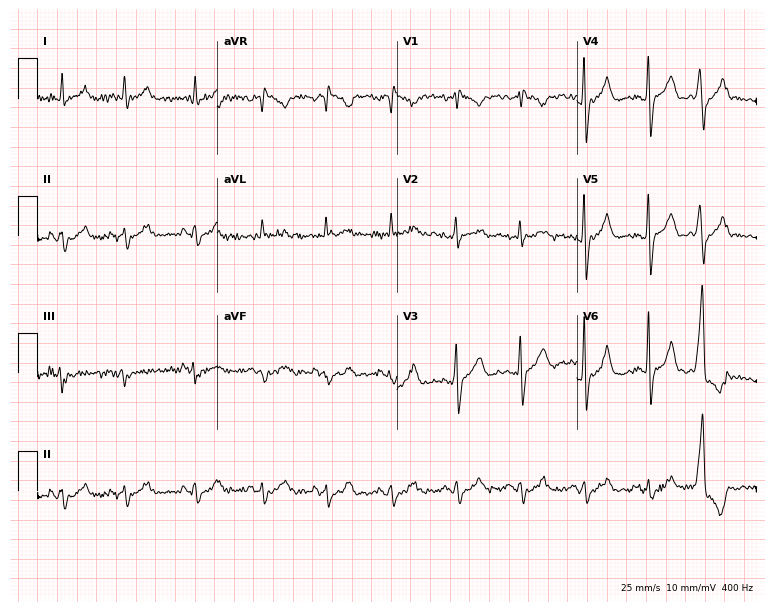
12-lead ECG from a 73-year-old male patient. No first-degree AV block, right bundle branch block, left bundle branch block, sinus bradycardia, atrial fibrillation or sinus tachycardia recorded for this tracing.